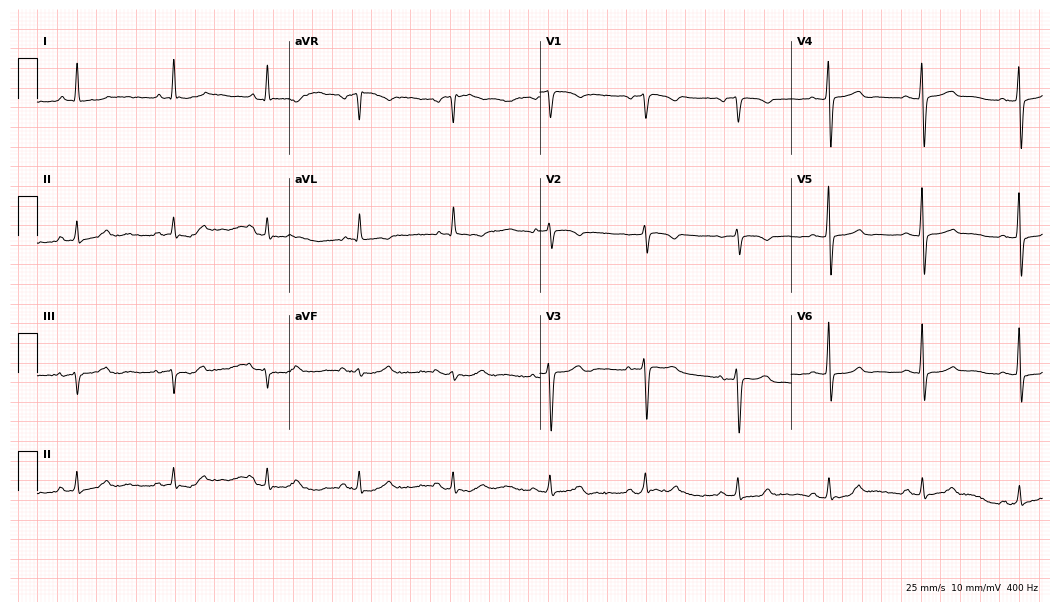
12-lead ECG from a 59-year-old man. Recorded interpretation: within normal limits.